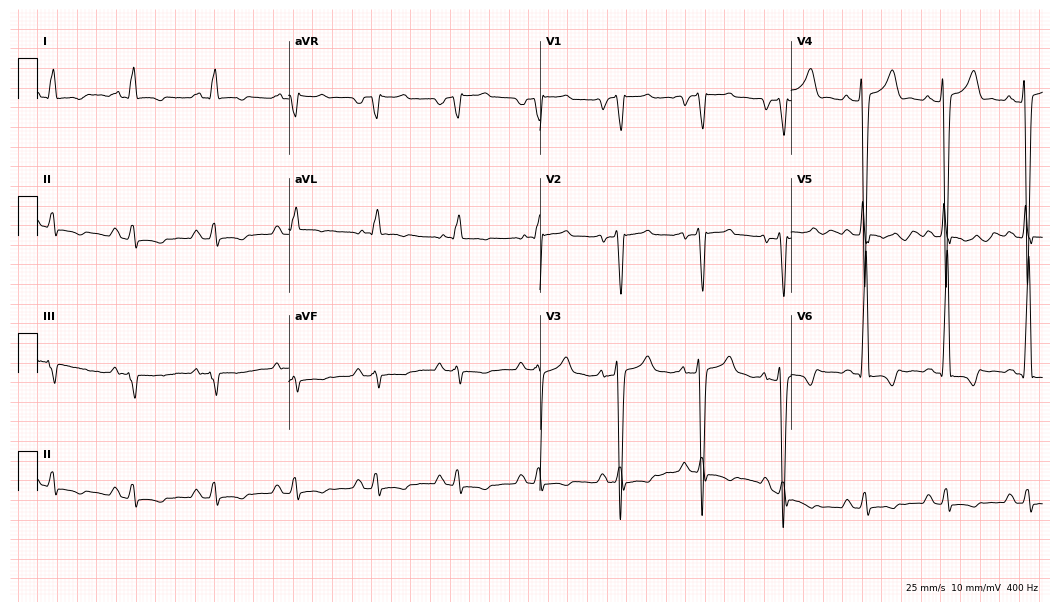
Electrocardiogram (10.2-second recording at 400 Hz), a 68-year-old male patient. Of the six screened findings (first-degree AV block, right bundle branch block, left bundle branch block, sinus bradycardia, atrial fibrillation, sinus tachycardia), none is recorded.